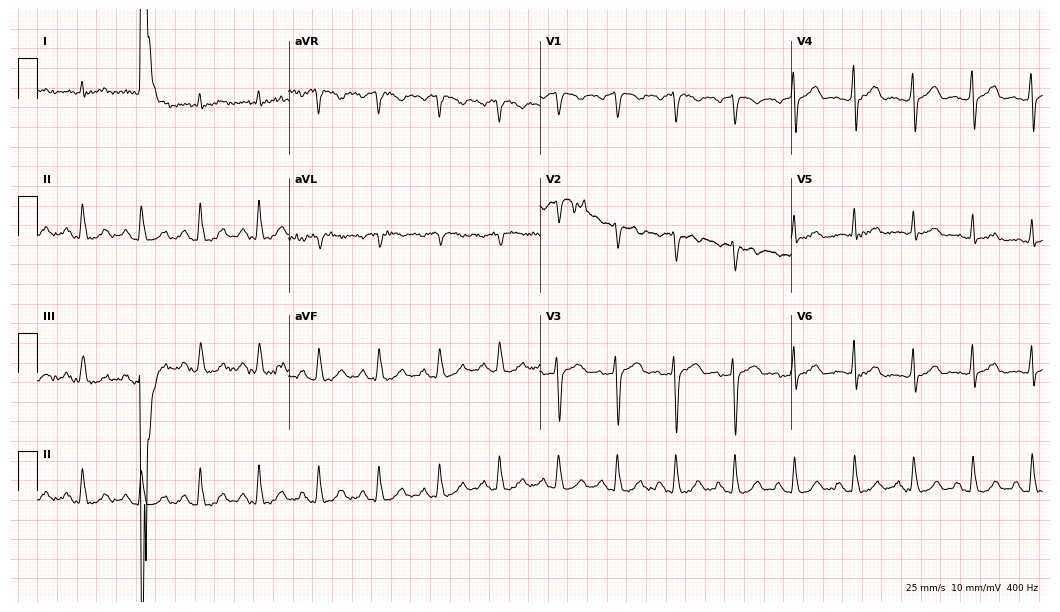
Resting 12-lead electrocardiogram. Patient: a 65-year-old man. None of these six findings is recorded: first-degree AV block, right bundle branch block, left bundle branch block, sinus bradycardia, atrial fibrillation, sinus tachycardia. Other findings, if any, are not listed.